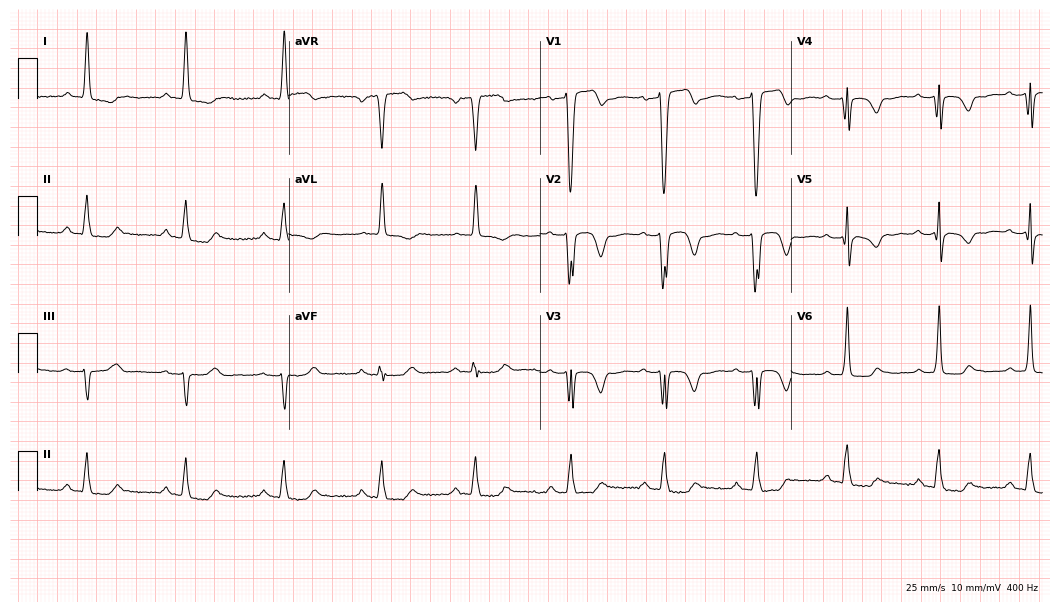
Resting 12-lead electrocardiogram. Patient: a 60-year-old male. None of these six findings is recorded: first-degree AV block, right bundle branch block (RBBB), left bundle branch block (LBBB), sinus bradycardia, atrial fibrillation (AF), sinus tachycardia.